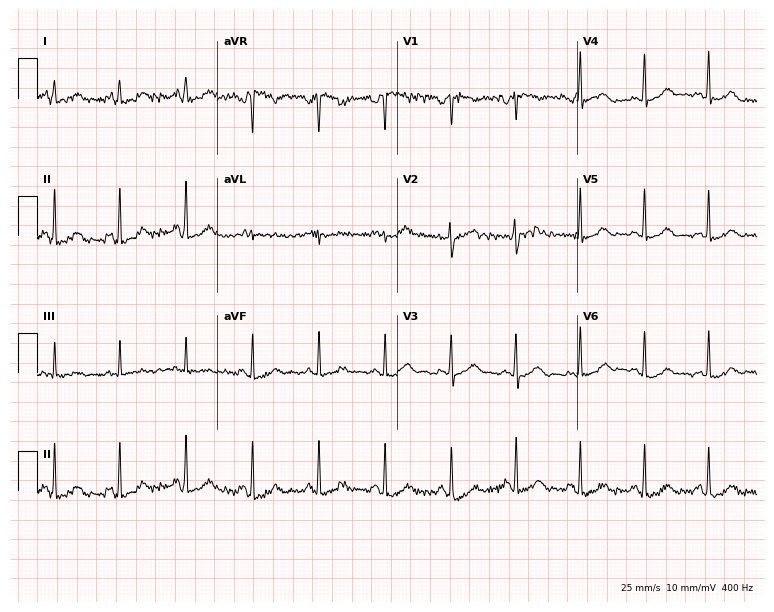
ECG (7.3-second recording at 400 Hz) — a 39-year-old woman. Labelled as a normal ECG.